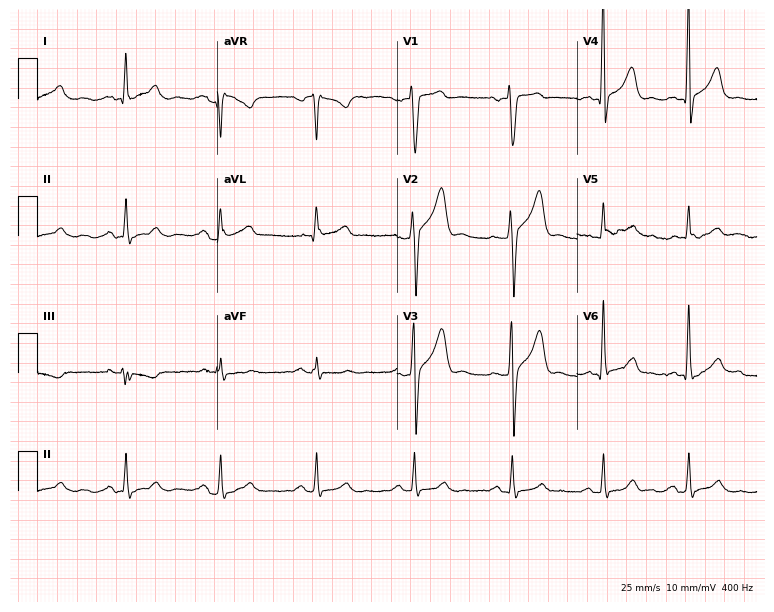
12-lead ECG from a male patient, 51 years old (7.3-second recording at 400 Hz). No first-degree AV block, right bundle branch block (RBBB), left bundle branch block (LBBB), sinus bradycardia, atrial fibrillation (AF) or sinus tachycardia recorded for this tracing. Only these six findings were labelled.